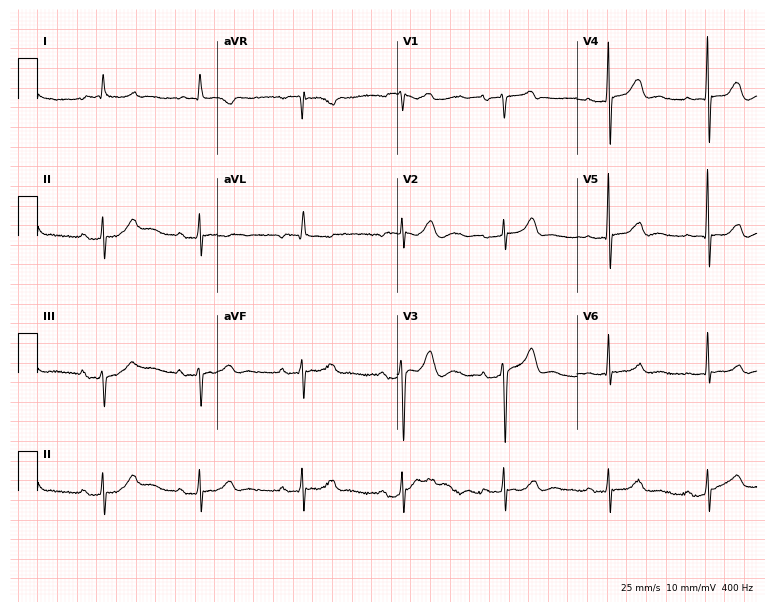
Resting 12-lead electrocardiogram. Patient: a woman, 76 years old. None of these six findings is recorded: first-degree AV block, right bundle branch block, left bundle branch block, sinus bradycardia, atrial fibrillation, sinus tachycardia. Findings outside these six are not listed.